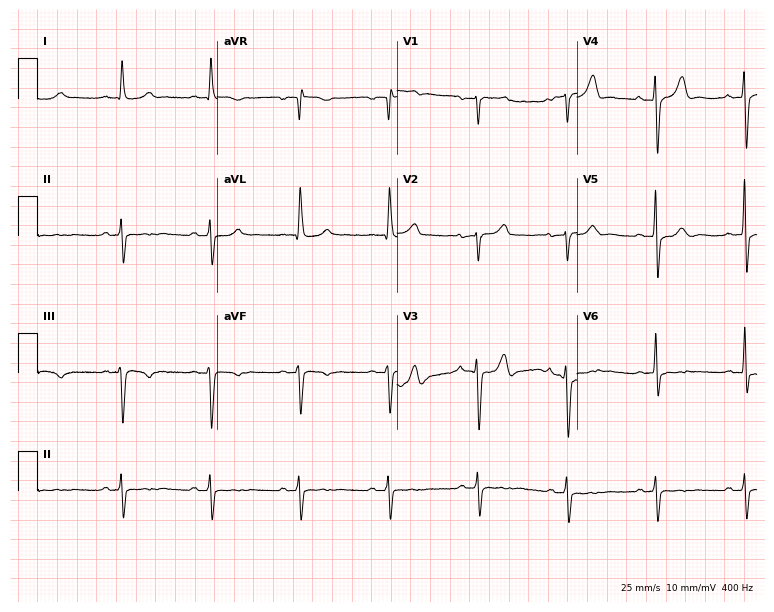
12-lead ECG from a female patient, 78 years old. Screened for six findings — first-degree AV block, right bundle branch block, left bundle branch block, sinus bradycardia, atrial fibrillation, sinus tachycardia — none is recorded. Other findings, if any, are not listed.